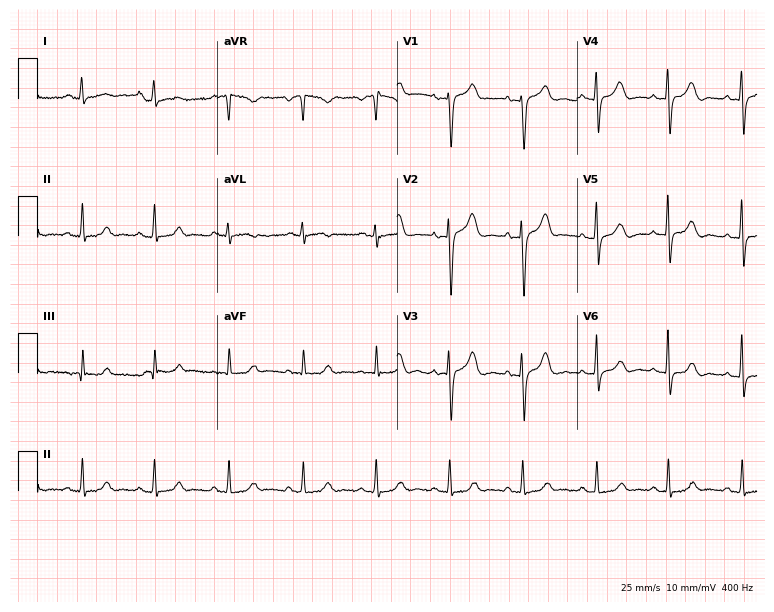
12-lead ECG from a 71-year-old female. Labelled as a normal ECG.